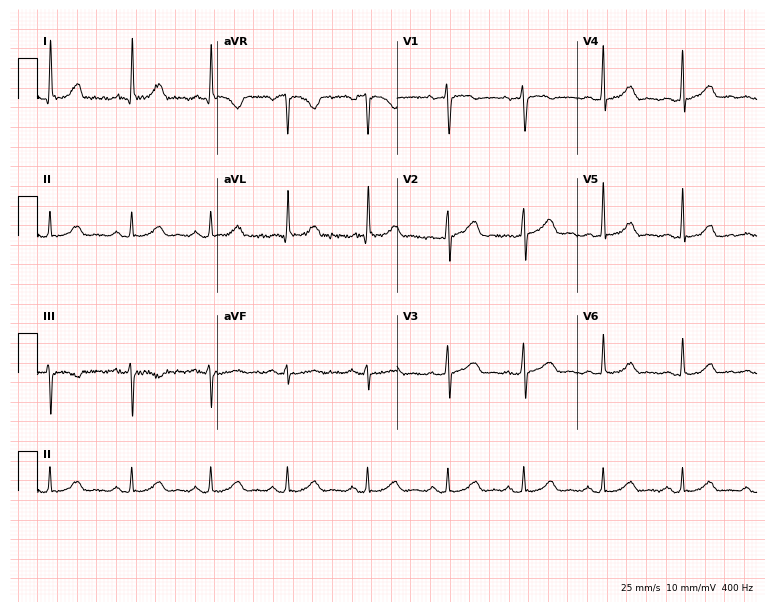
Electrocardiogram (7.3-second recording at 400 Hz), a 61-year-old female. Of the six screened findings (first-degree AV block, right bundle branch block, left bundle branch block, sinus bradycardia, atrial fibrillation, sinus tachycardia), none is recorded.